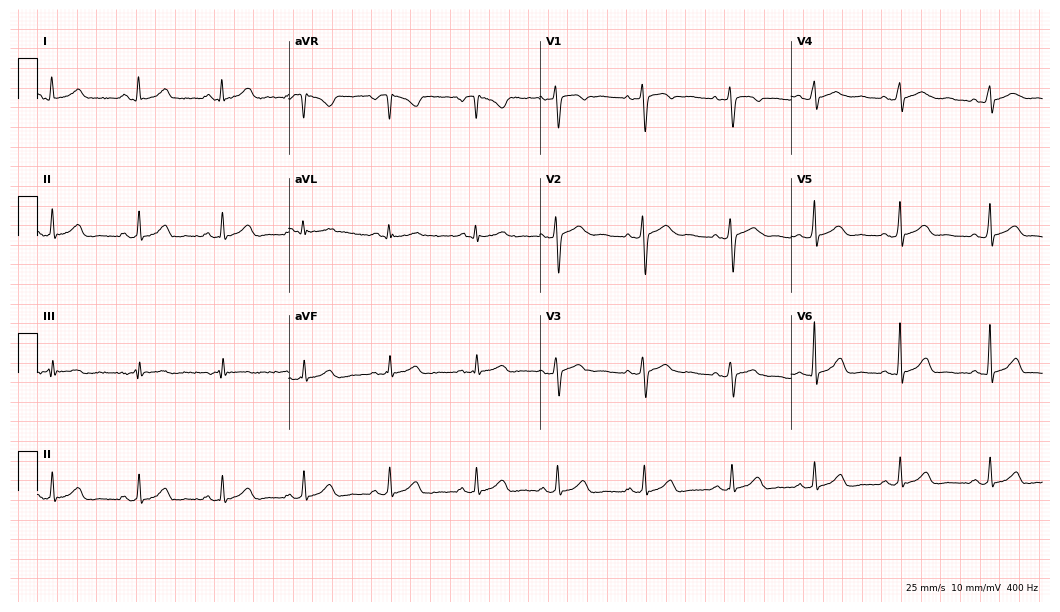
Standard 12-lead ECG recorded from a 33-year-old female patient. Read as a normal ECG.